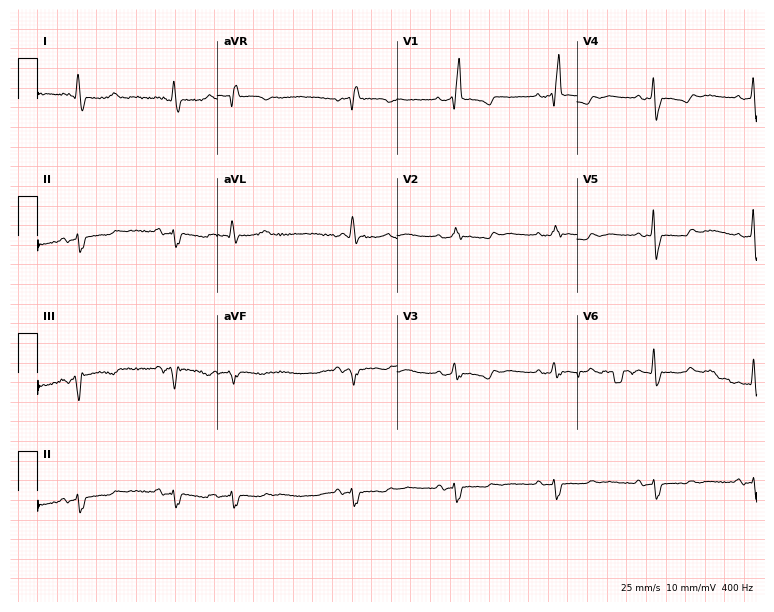
Electrocardiogram (7.3-second recording at 400 Hz), a woman, 74 years old. Interpretation includes right bundle branch block.